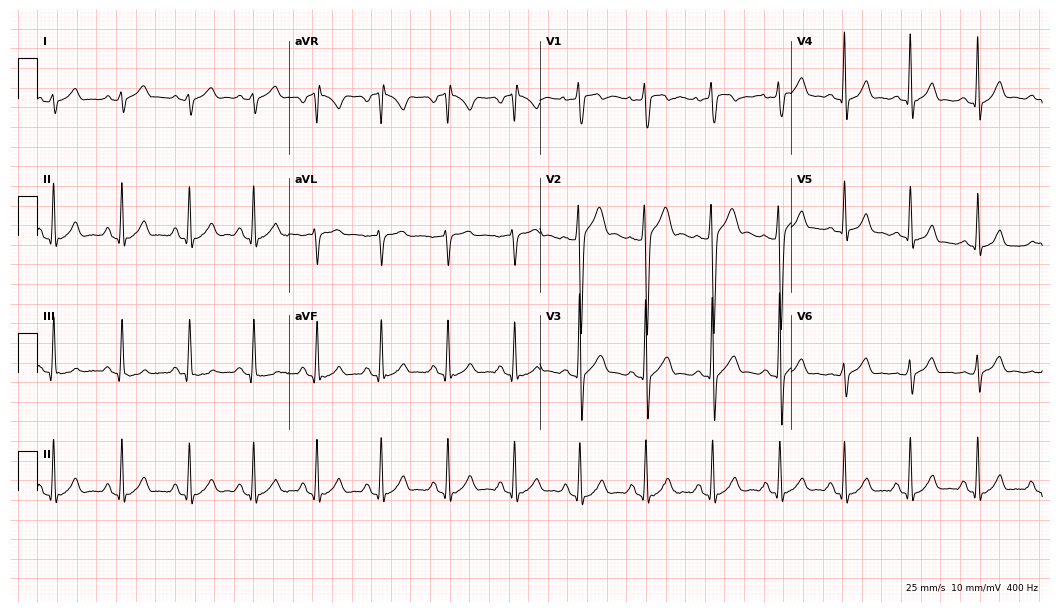
Electrocardiogram, a man, 18 years old. Overall reading on record: normal ECG.